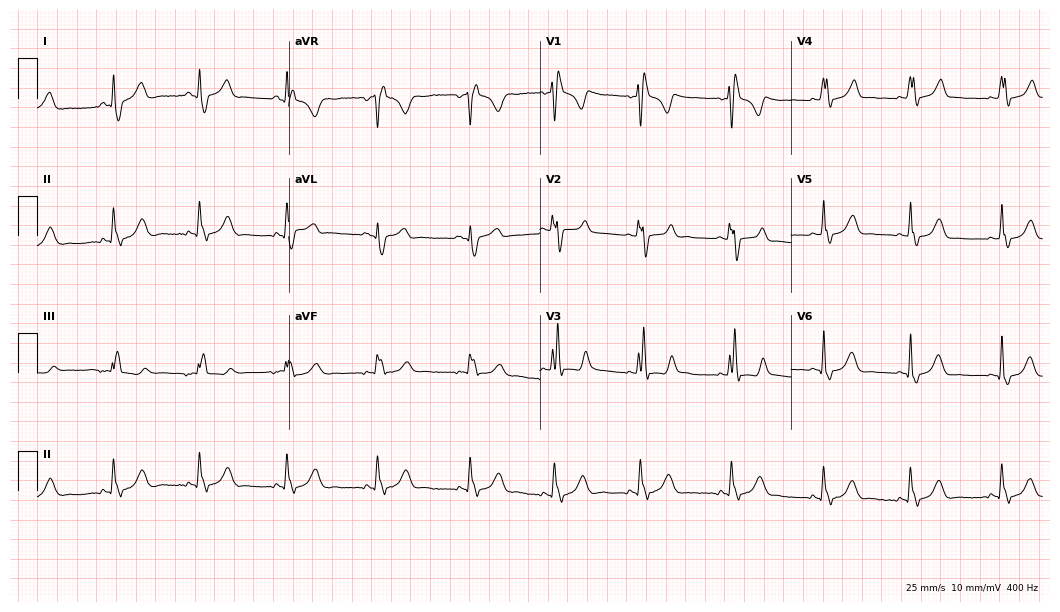
Standard 12-lead ECG recorded from a female, 30 years old (10.2-second recording at 400 Hz). The tracing shows right bundle branch block.